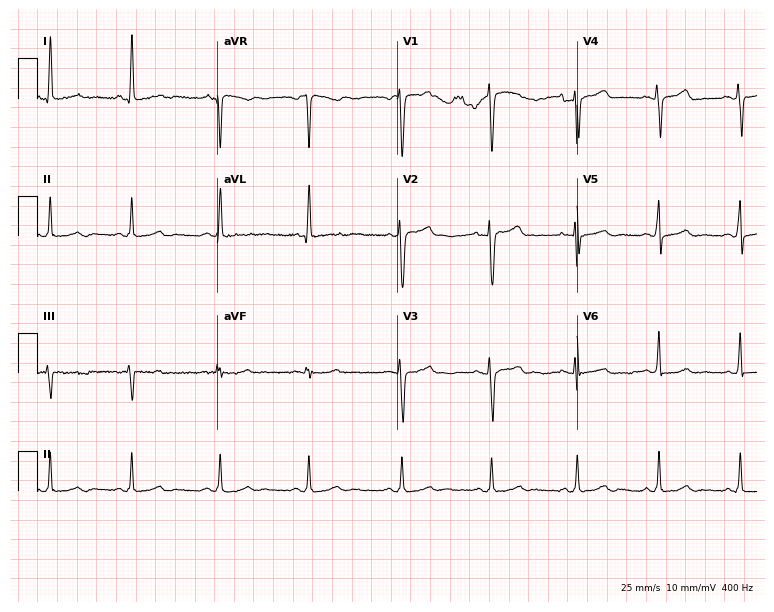
Electrocardiogram (7.3-second recording at 400 Hz), a female patient, 42 years old. Of the six screened findings (first-degree AV block, right bundle branch block (RBBB), left bundle branch block (LBBB), sinus bradycardia, atrial fibrillation (AF), sinus tachycardia), none is recorded. Findings outside these six are not listed.